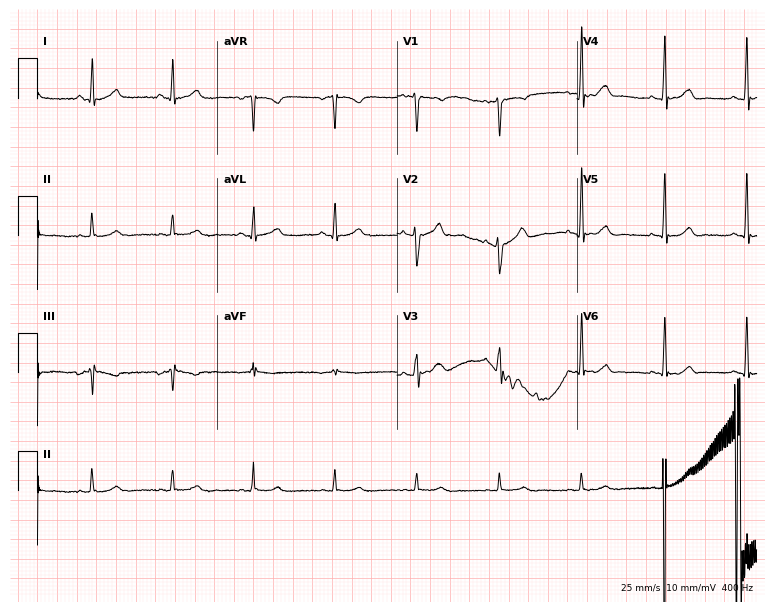
Resting 12-lead electrocardiogram. Patient: a female, 33 years old. None of these six findings is recorded: first-degree AV block, right bundle branch block, left bundle branch block, sinus bradycardia, atrial fibrillation, sinus tachycardia. Only these six findings were labelled.